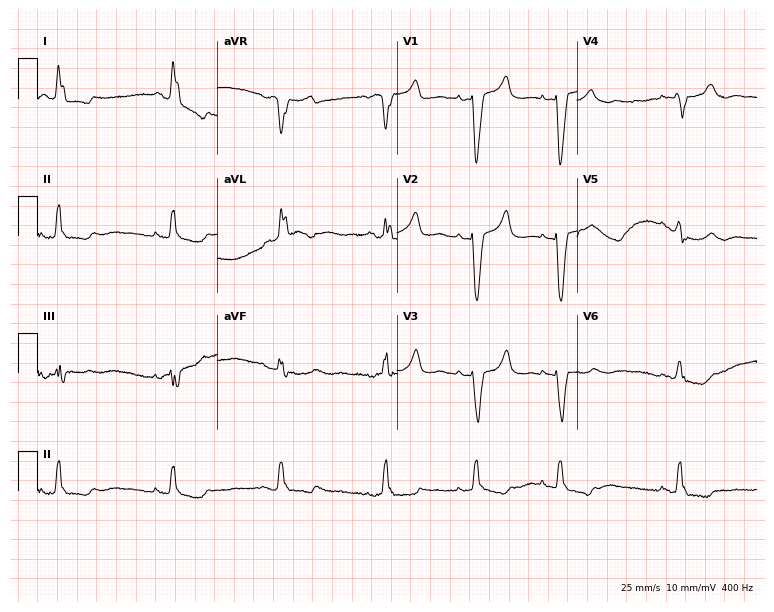
Standard 12-lead ECG recorded from a female patient, 58 years old (7.3-second recording at 400 Hz). The tracing shows left bundle branch block.